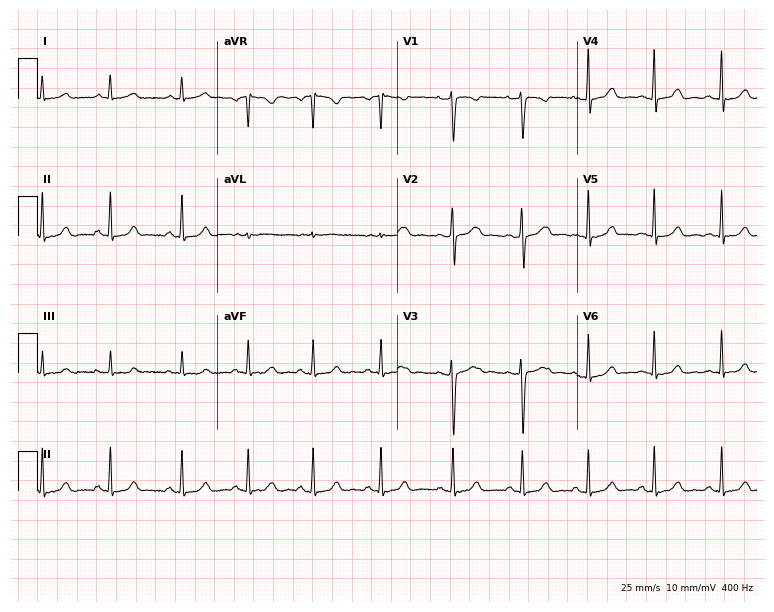
12-lead ECG (7.3-second recording at 400 Hz) from a woman, 22 years old. Labelled as a normal ECG.